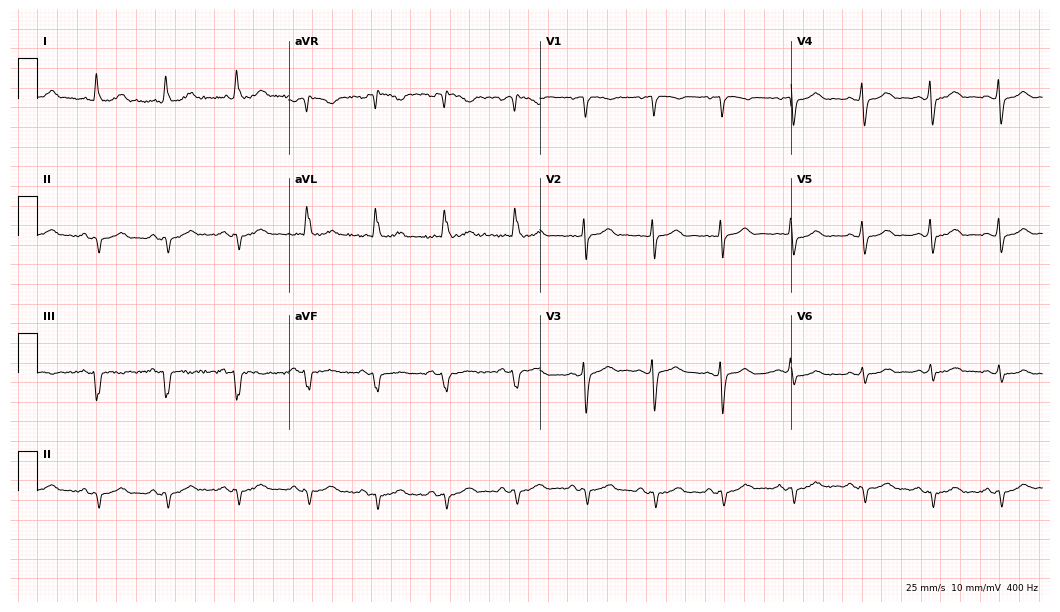
12-lead ECG from a female patient, 83 years old. Screened for six findings — first-degree AV block, right bundle branch block, left bundle branch block, sinus bradycardia, atrial fibrillation, sinus tachycardia — none is recorded.